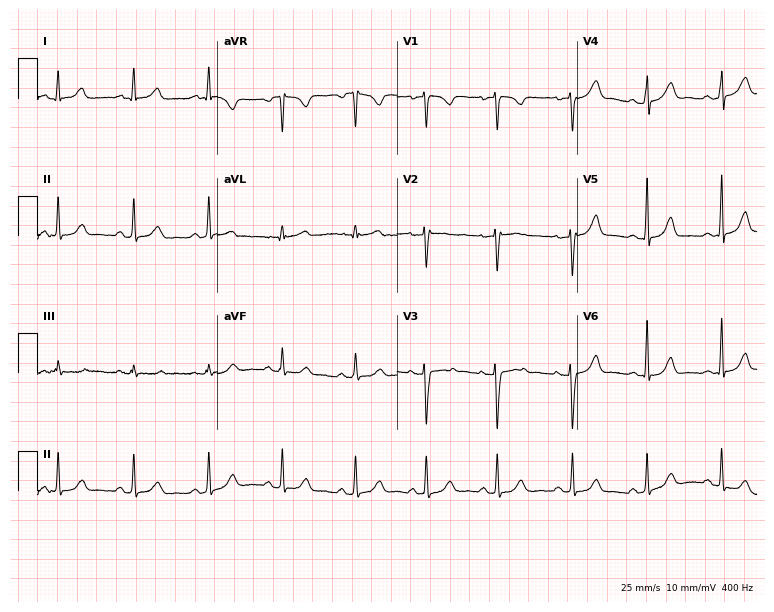
Resting 12-lead electrocardiogram. Patient: a female, 28 years old. Read as a normal ECG.